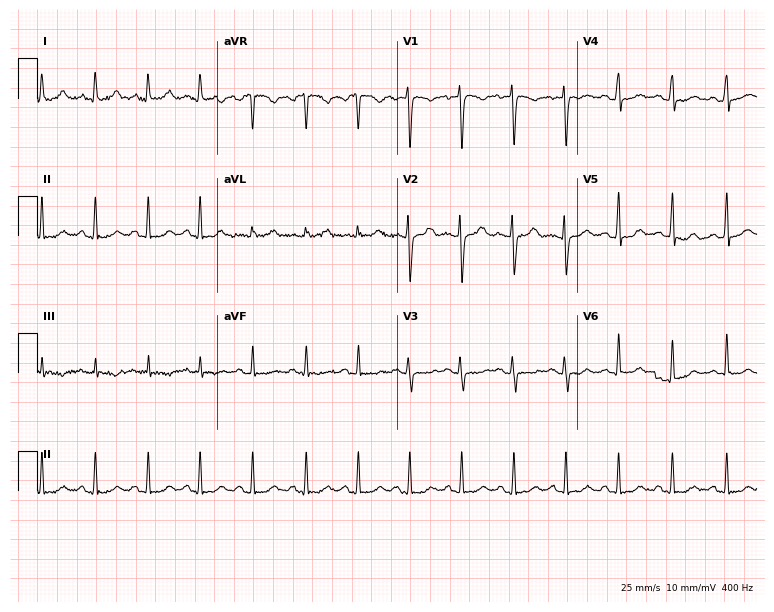
Resting 12-lead electrocardiogram. Patient: a female, 32 years old. The tracing shows sinus tachycardia (a sinus rate of 100 beats per minute or more).